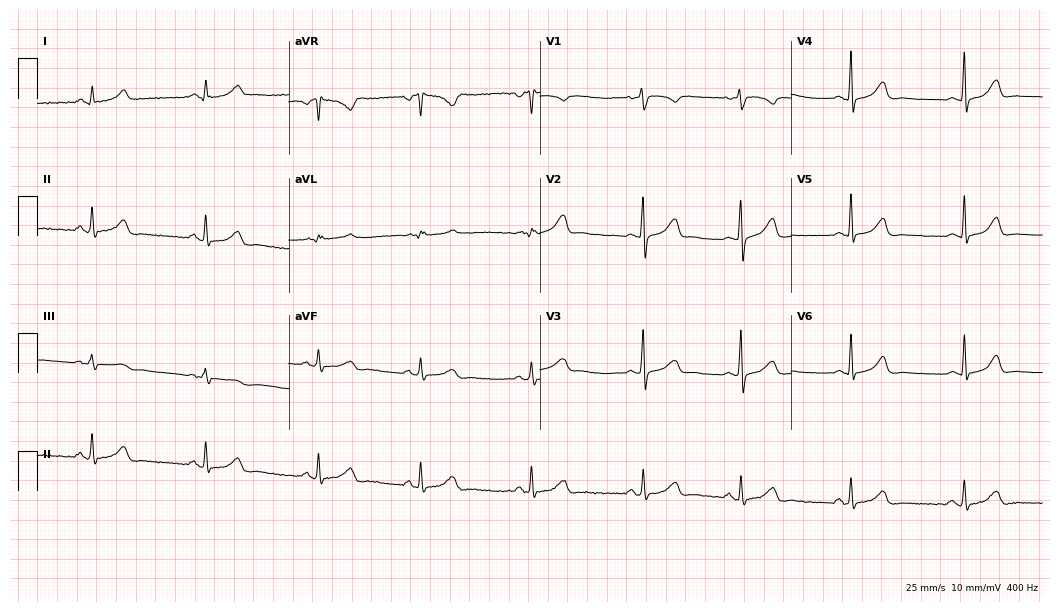
12-lead ECG from a 28-year-old woman. Recorded interpretation: within normal limits.